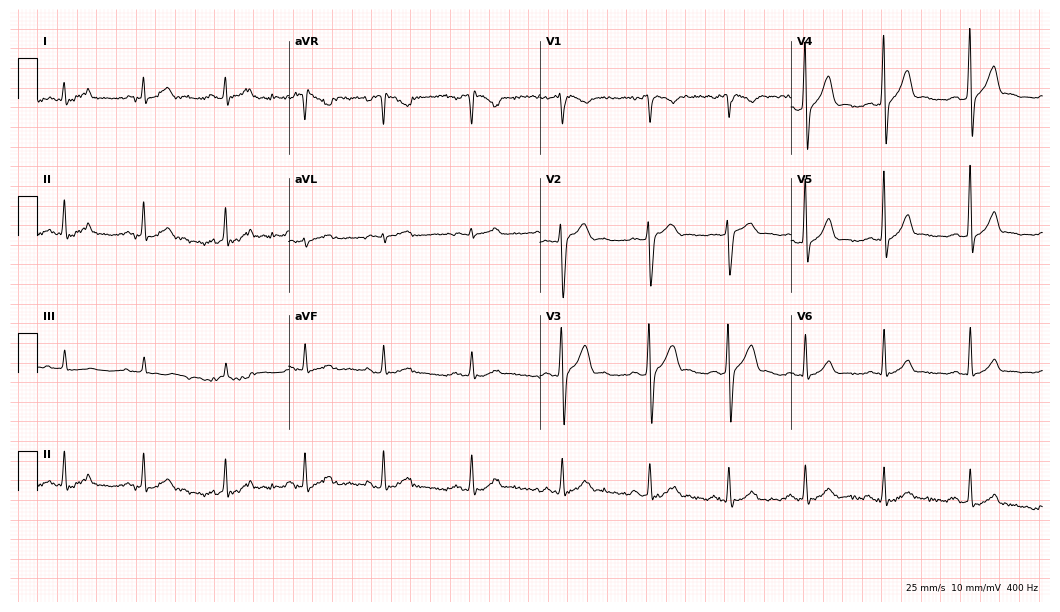
Standard 12-lead ECG recorded from a 24-year-old male. Read as a normal ECG.